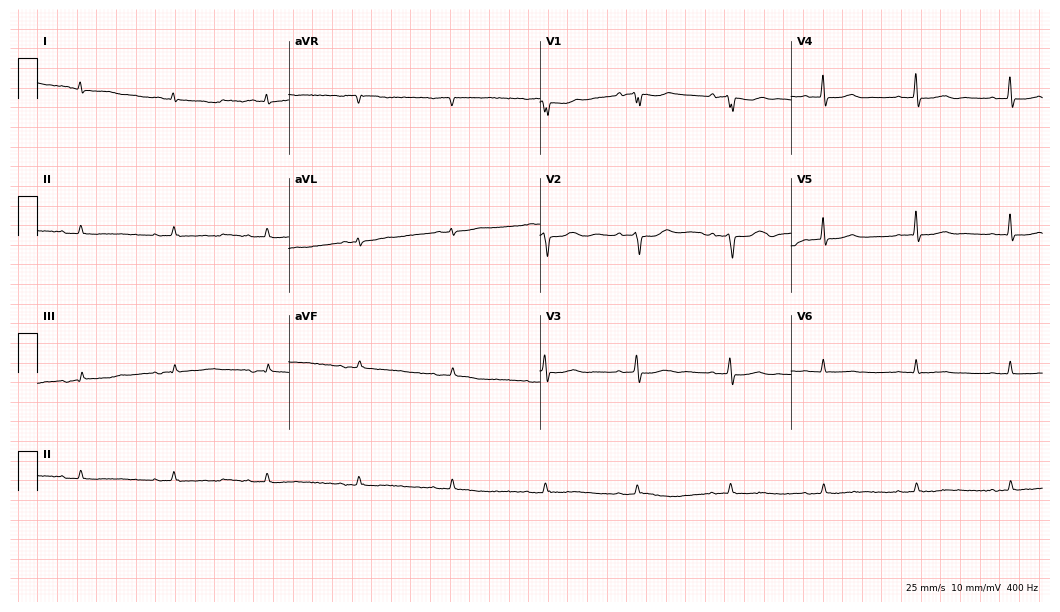
Resting 12-lead electrocardiogram (10.2-second recording at 400 Hz). Patient: a male, 77 years old. None of these six findings is recorded: first-degree AV block, right bundle branch block (RBBB), left bundle branch block (LBBB), sinus bradycardia, atrial fibrillation (AF), sinus tachycardia.